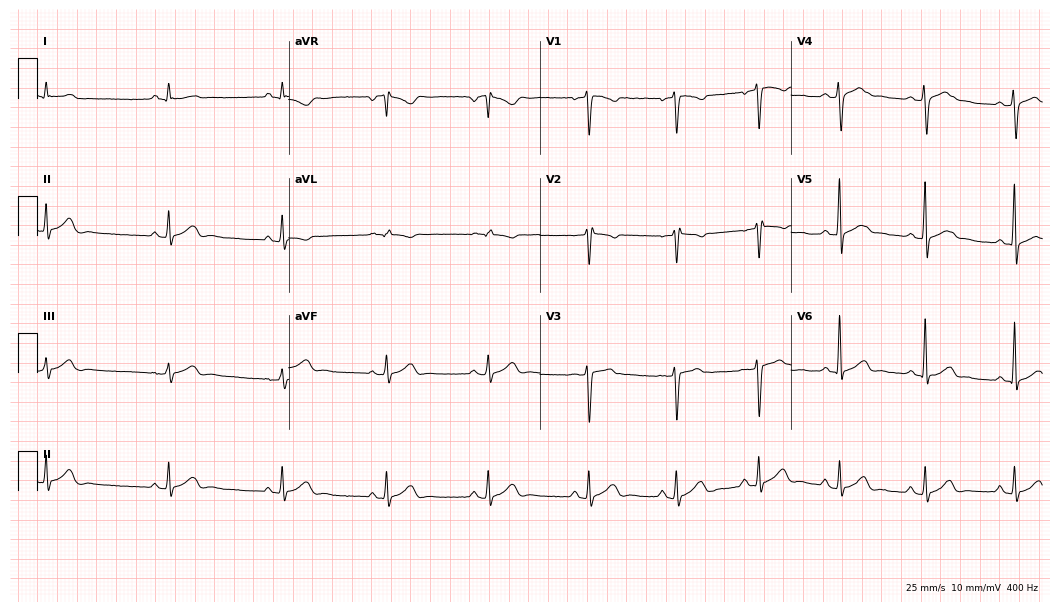
ECG — a 26-year-old male. Screened for six findings — first-degree AV block, right bundle branch block (RBBB), left bundle branch block (LBBB), sinus bradycardia, atrial fibrillation (AF), sinus tachycardia — none is recorded. Findings outside these six are not listed.